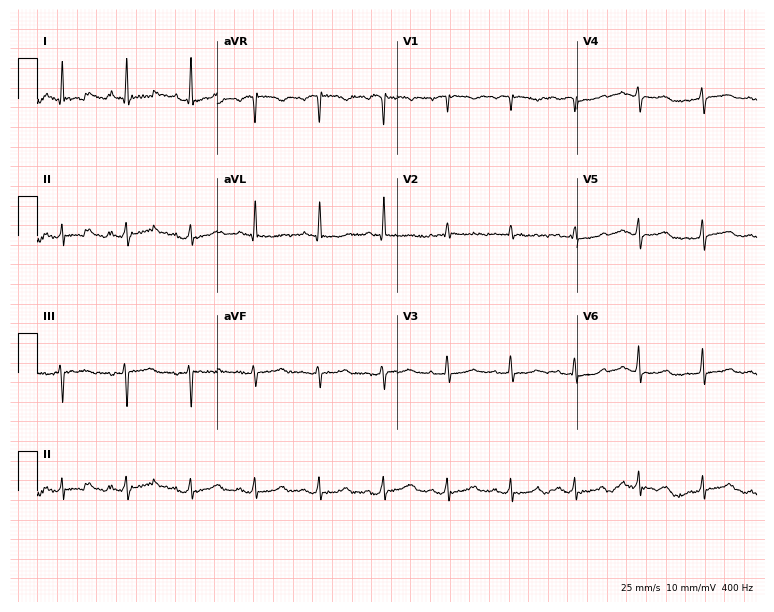
12-lead ECG from a woman, 83 years old. Screened for six findings — first-degree AV block, right bundle branch block (RBBB), left bundle branch block (LBBB), sinus bradycardia, atrial fibrillation (AF), sinus tachycardia — none is recorded.